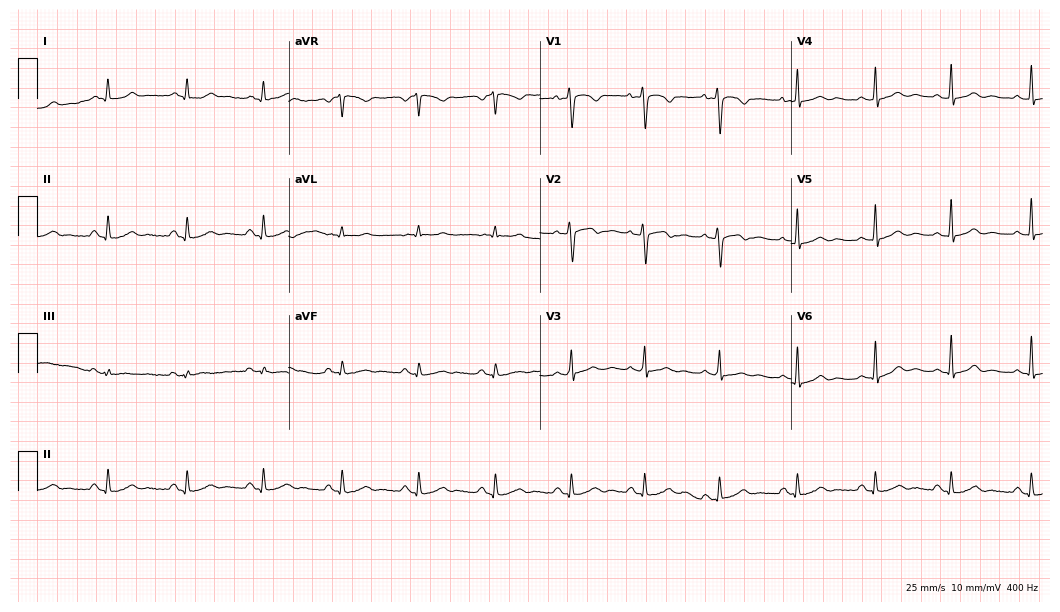
ECG (10.2-second recording at 400 Hz) — a woman, 33 years old. Labelled as a normal ECG.